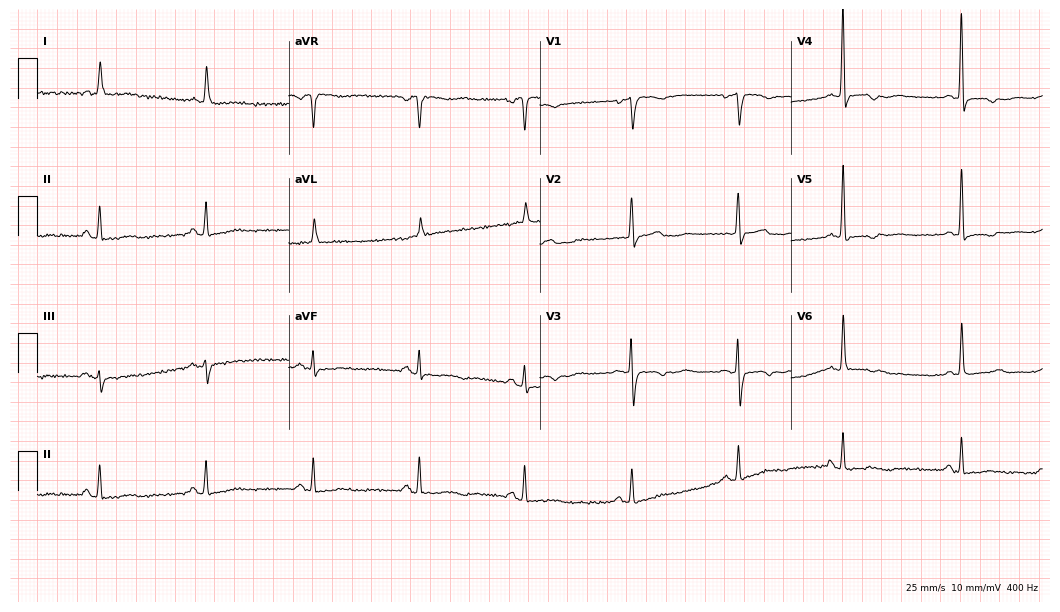
Resting 12-lead electrocardiogram (10.2-second recording at 400 Hz). Patient: a woman, 85 years old. None of these six findings is recorded: first-degree AV block, right bundle branch block, left bundle branch block, sinus bradycardia, atrial fibrillation, sinus tachycardia.